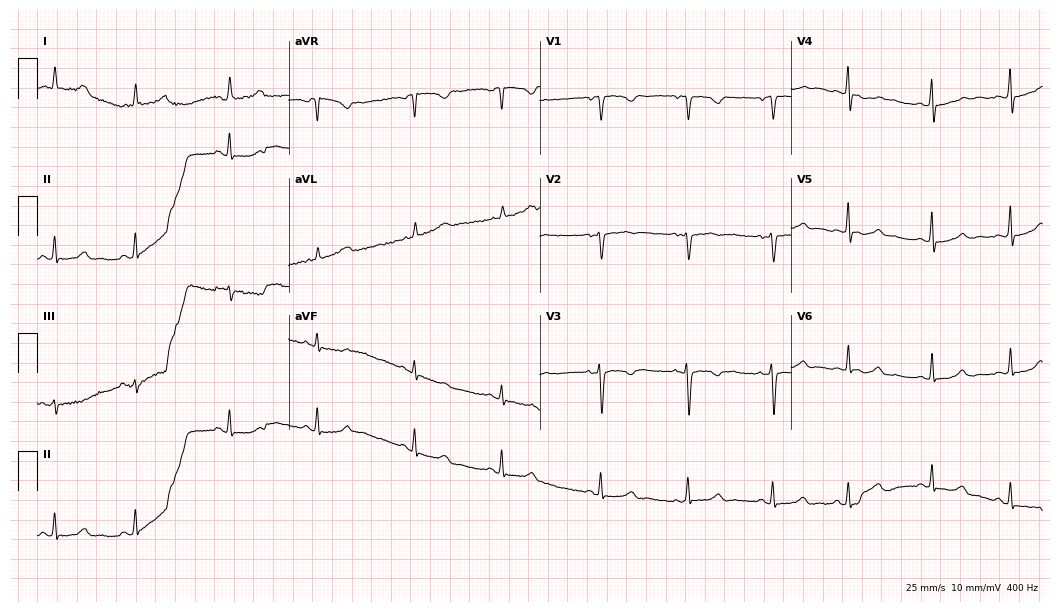
Standard 12-lead ECG recorded from a 24-year-old woman (10.2-second recording at 400 Hz). Read as a normal ECG.